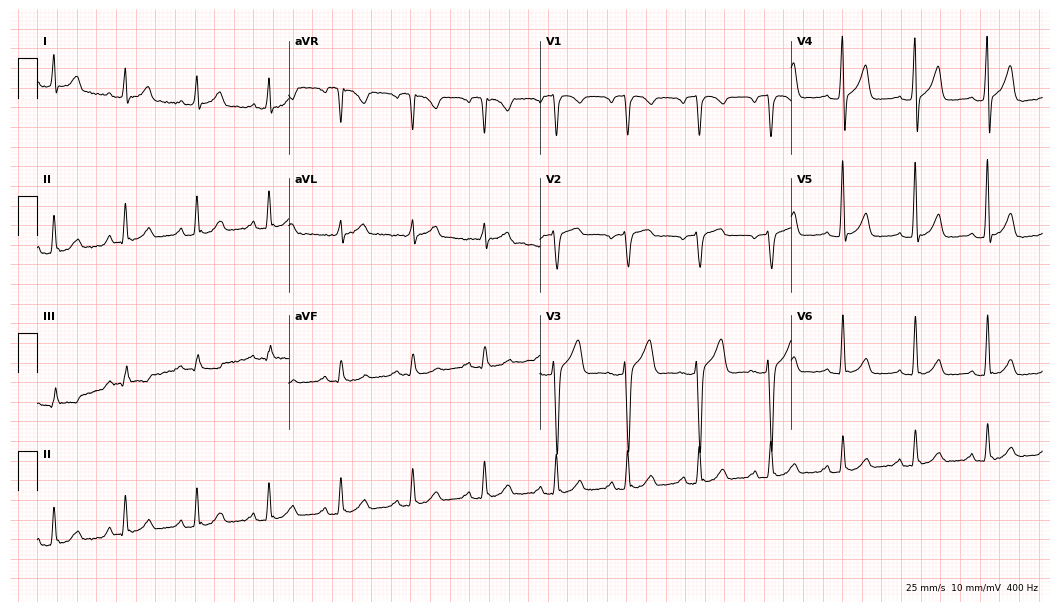
ECG — a man, 59 years old. Screened for six findings — first-degree AV block, right bundle branch block (RBBB), left bundle branch block (LBBB), sinus bradycardia, atrial fibrillation (AF), sinus tachycardia — none is recorded. Other findings, if any, are not listed.